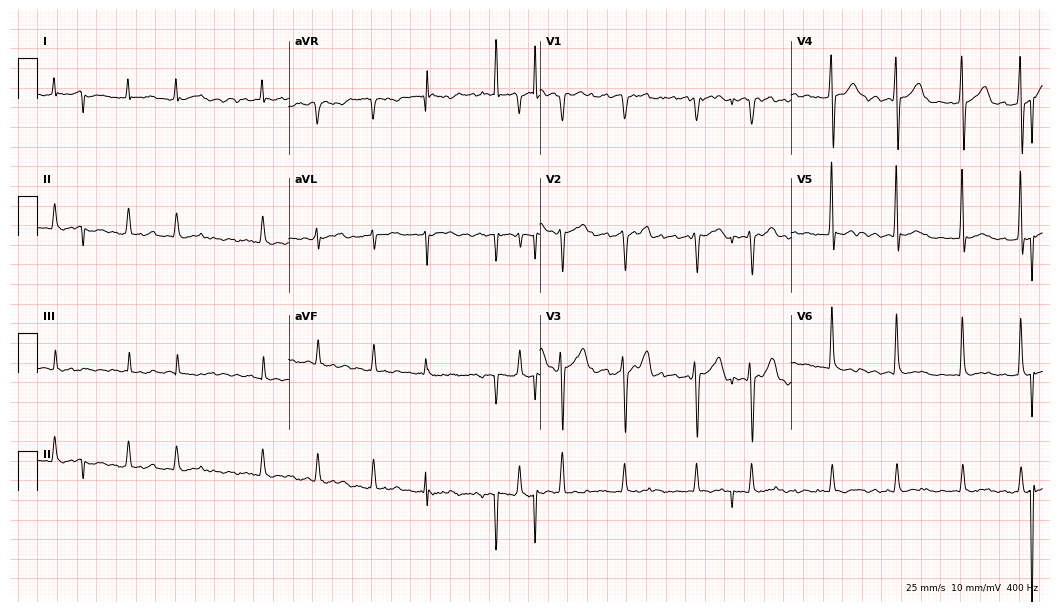
12-lead ECG from a male, 54 years old. Findings include atrial fibrillation.